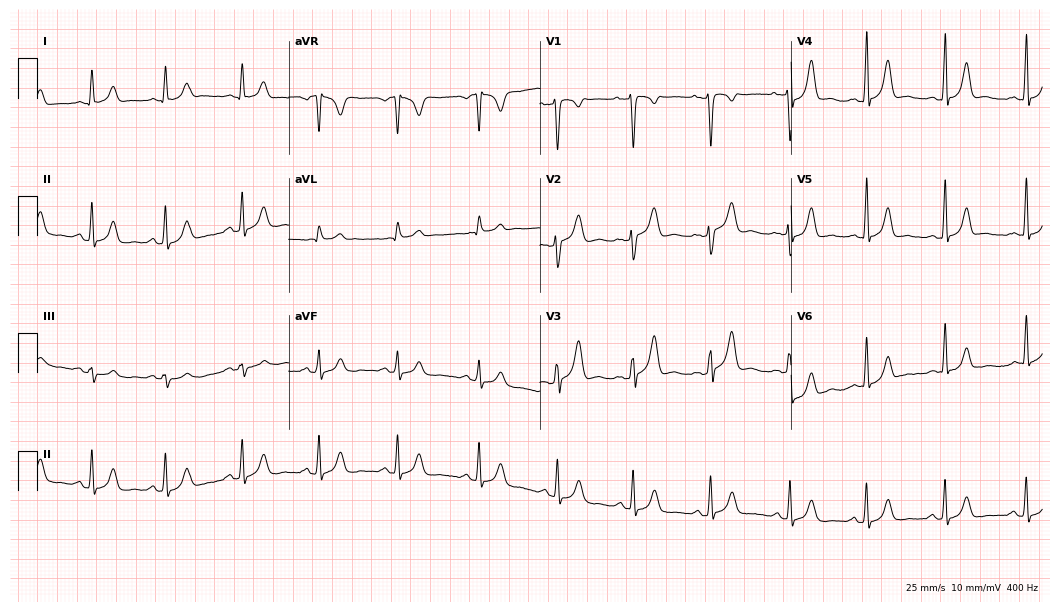
Resting 12-lead electrocardiogram (10.2-second recording at 400 Hz). Patient: a man, 32 years old. Read as a normal ECG.